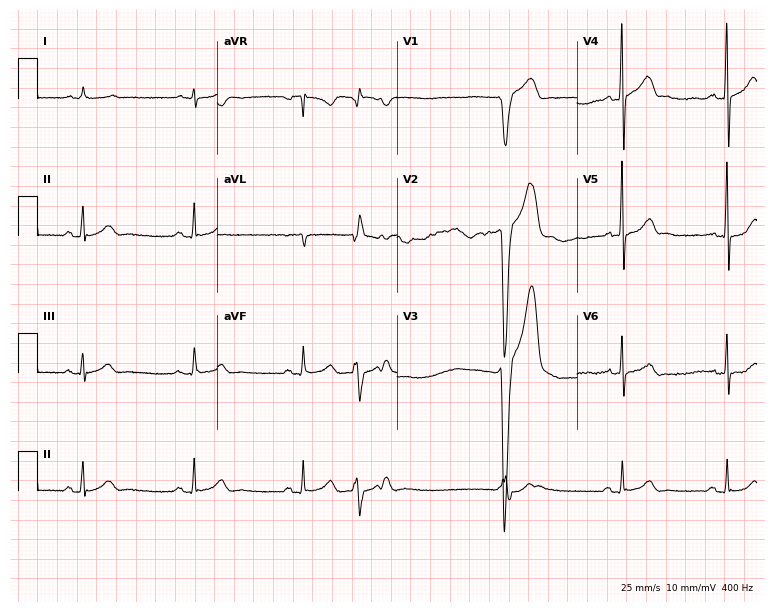
ECG (7.3-second recording at 400 Hz) — a 36-year-old man. Screened for six findings — first-degree AV block, right bundle branch block, left bundle branch block, sinus bradycardia, atrial fibrillation, sinus tachycardia — none is recorded.